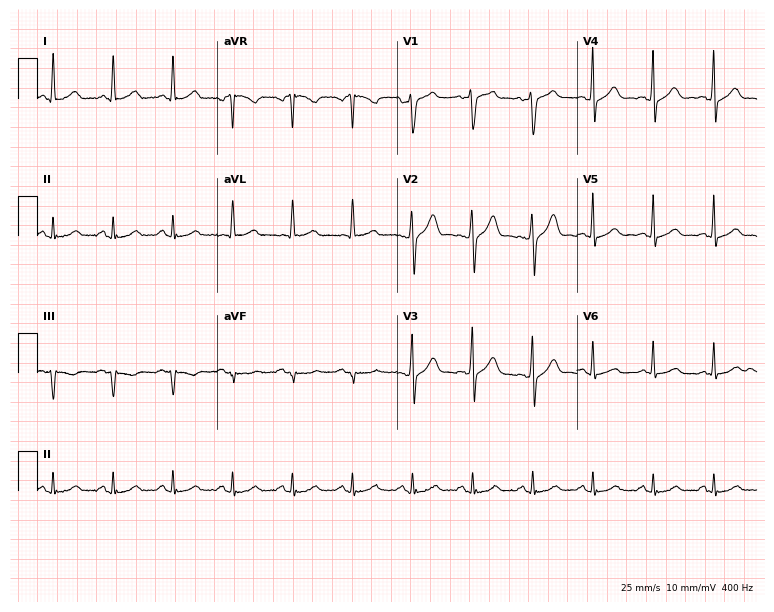
12-lead ECG from a male patient, 54 years old. Labelled as a normal ECG.